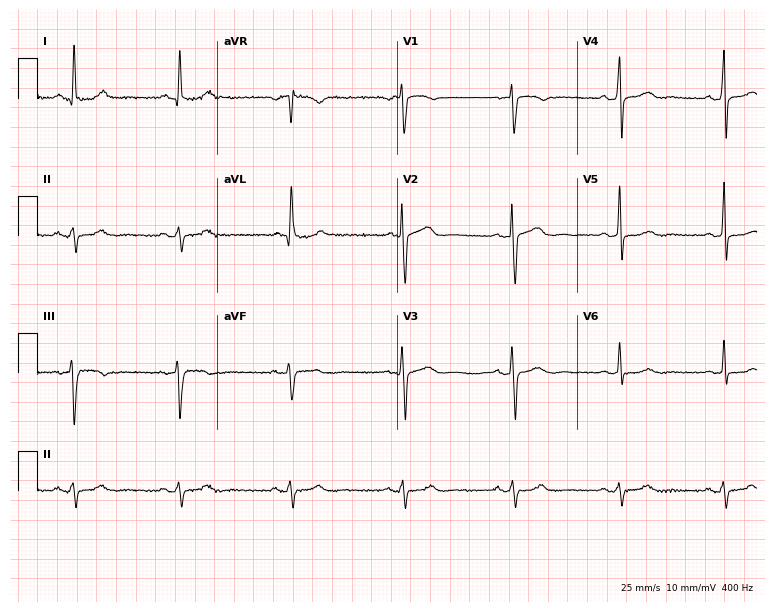
12-lead ECG from a 68-year-old woman (7.3-second recording at 400 Hz). No first-degree AV block, right bundle branch block, left bundle branch block, sinus bradycardia, atrial fibrillation or sinus tachycardia recorded for this tracing. Findings outside these six are not listed.